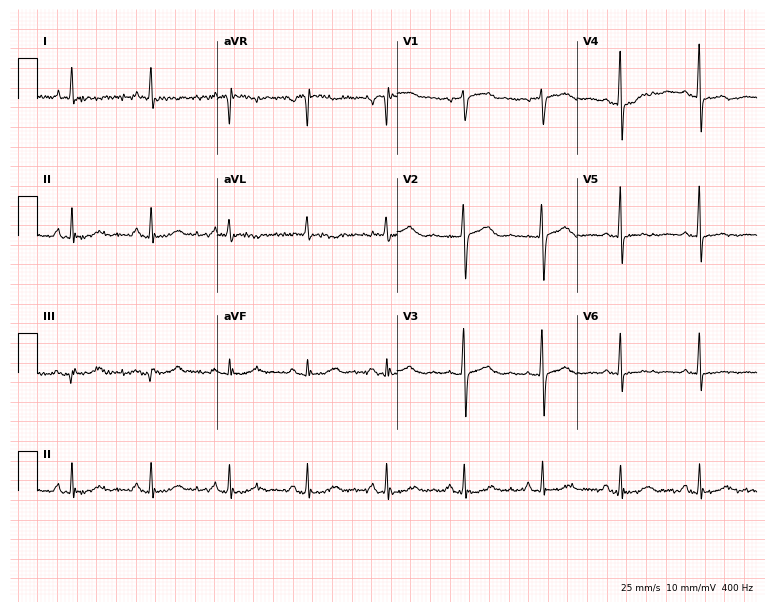
12-lead ECG from a 75-year-old woman. Screened for six findings — first-degree AV block, right bundle branch block (RBBB), left bundle branch block (LBBB), sinus bradycardia, atrial fibrillation (AF), sinus tachycardia — none is recorded.